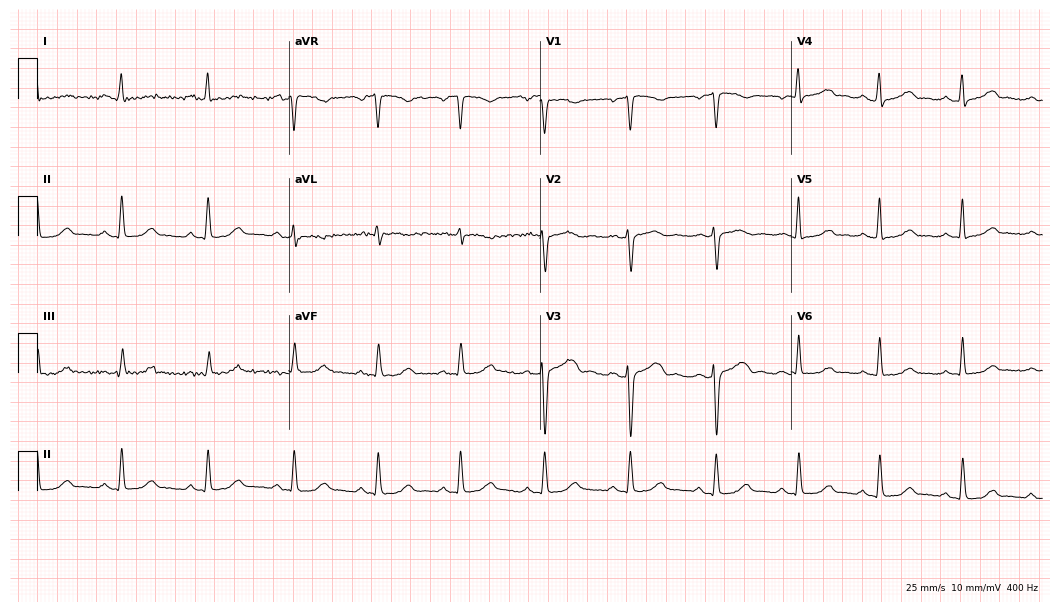
12-lead ECG from a 48-year-old woman. Labelled as a normal ECG.